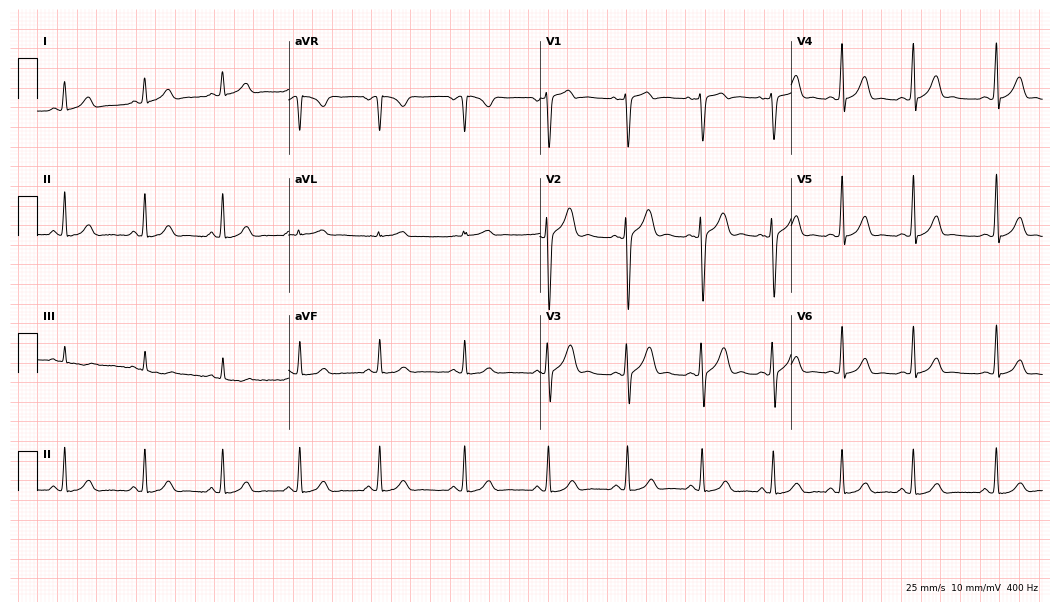
Electrocardiogram (10.2-second recording at 400 Hz), a 24-year-old man. Of the six screened findings (first-degree AV block, right bundle branch block (RBBB), left bundle branch block (LBBB), sinus bradycardia, atrial fibrillation (AF), sinus tachycardia), none is recorded. Only these six findings were labelled.